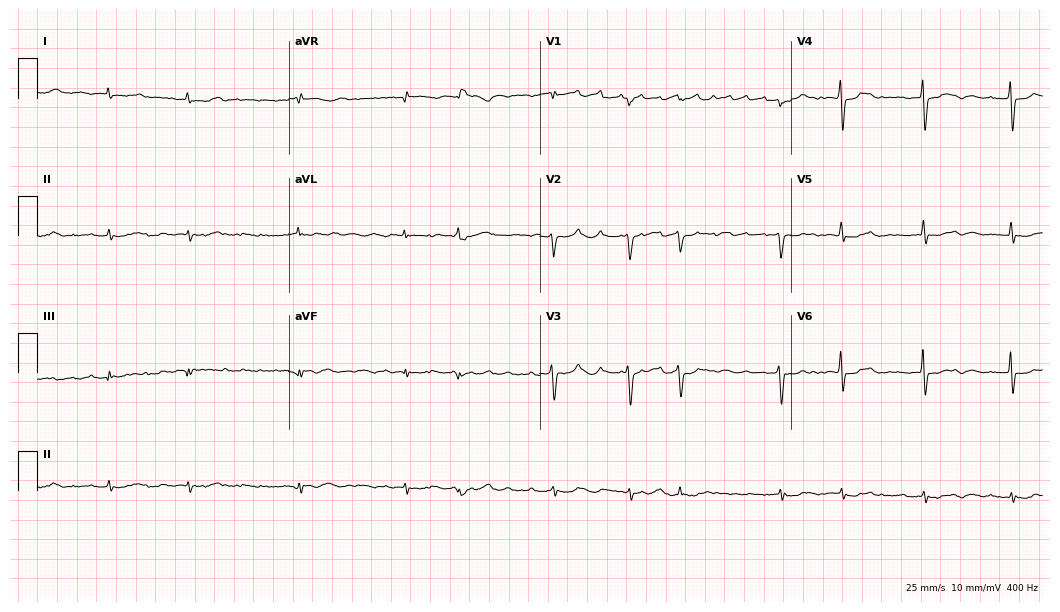
ECG — a woman, 69 years old. Findings include atrial fibrillation.